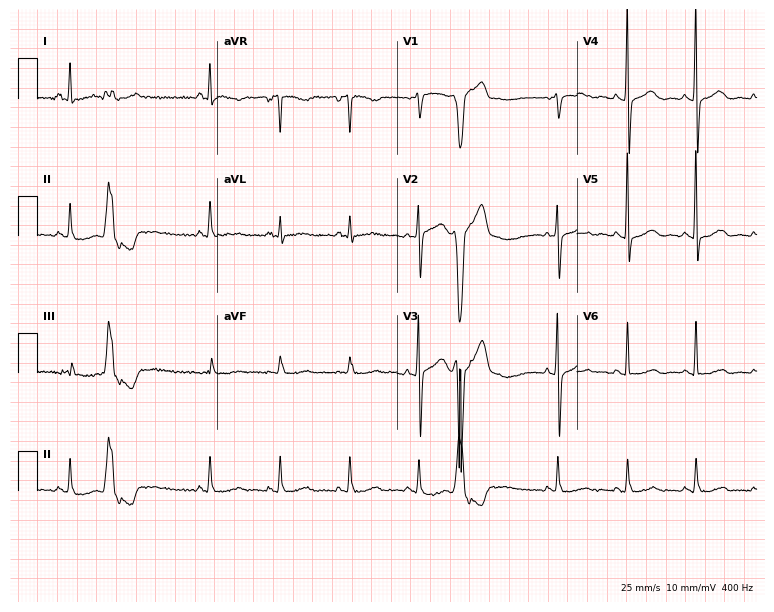
ECG (7.3-second recording at 400 Hz) — a female, 66 years old. Screened for six findings — first-degree AV block, right bundle branch block, left bundle branch block, sinus bradycardia, atrial fibrillation, sinus tachycardia — none is recorded.